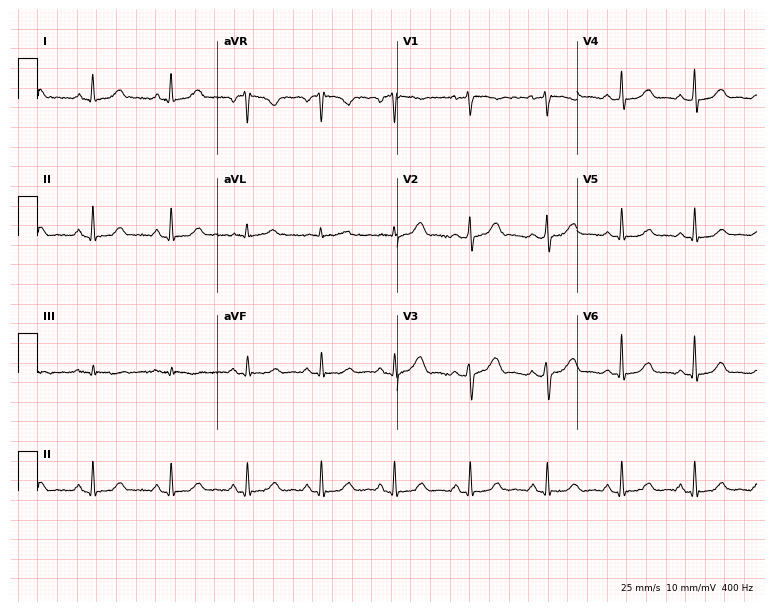
Electrocardiogram (7.3-second recording at 400 Hz), a woman, 39 years old. Overall reading on record: normal ECG.